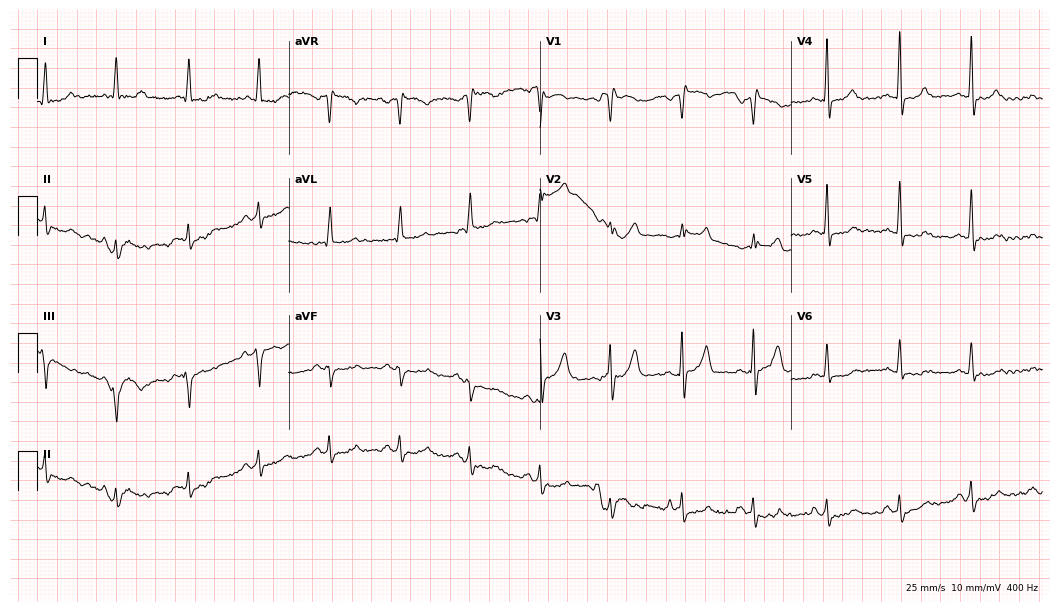
ECG (10.2-second recording at 400 Hz) — a 55-year-old male. Screened for six findings — first-degree AV block, right bundle branch block (RBBB), left bundle branch block (LBBB), sinus bradycardia, atrial fibrillation (AF), sinus tachycardia — none is recorded. Only these six findings were labelled.